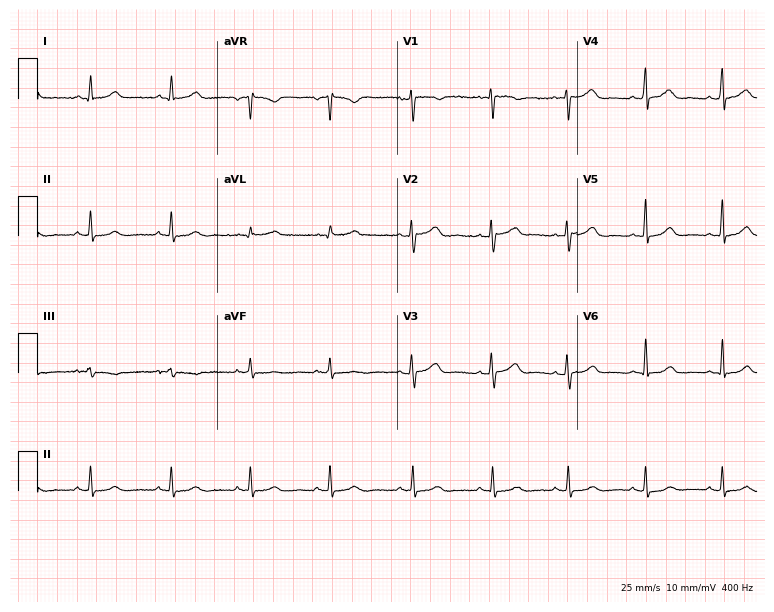
ECG — a female, 43 years old. Screened for six findings — first-degree AV block, right bundle branch block, left bundle branch block, sinus bradycardia, atrial fibrillation, sinus tachycardia — none is recorded. Other findings, if any, are not listed.